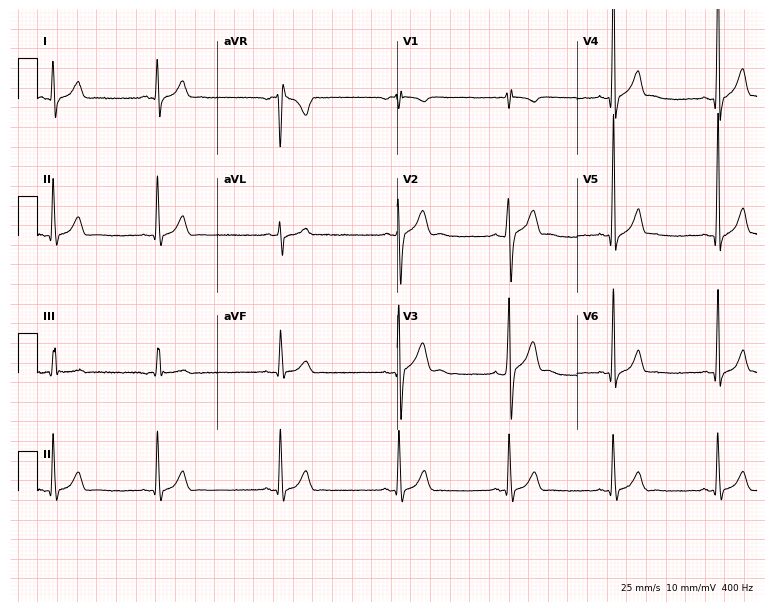
12-lead ECG (7.3-second recording at 400 Hz) from a 23-year-old male patient. Labelled as a normal ECG.